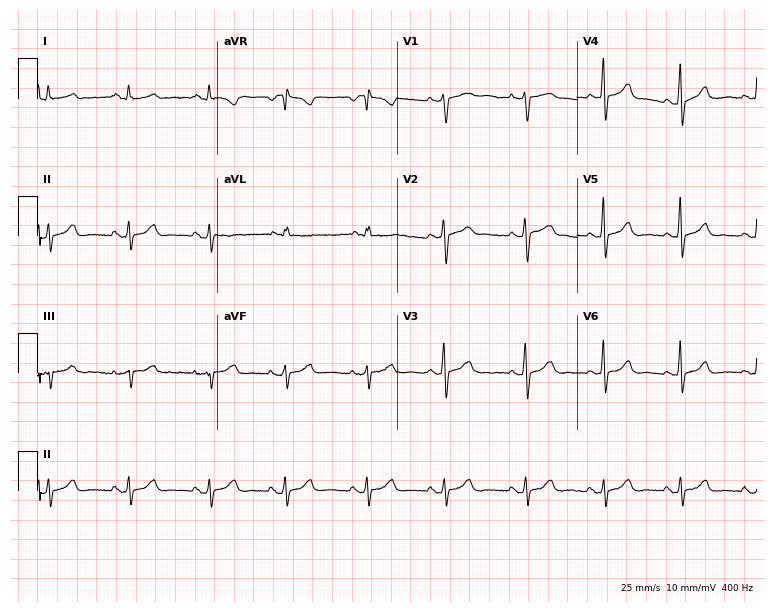
Electrocardiogram (7.3-second recording at 400 Hz), a 20-year-old female. Of the six screened findings (first-degree AV block, right bundle branch block, left bundle branch block, sinus bradycardia, atrial fibrillation, sinus tachycardia), none is recorded. Other findings, if any, are not listed.